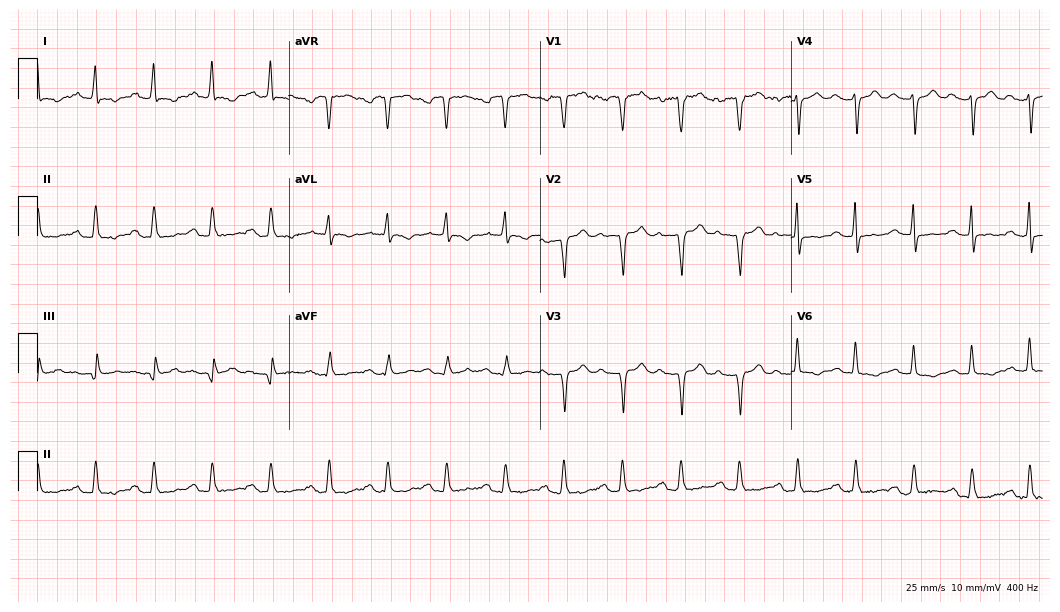
12-lead ECG (10.2-second recording at 400 Hz) from a female, 57 years old. Screened for six findings — first-degree AV block, right bundle branch block, left bundle branch block, sinus bradycardia, atrial fibrillation, sinus tachycardia — none is recorded.